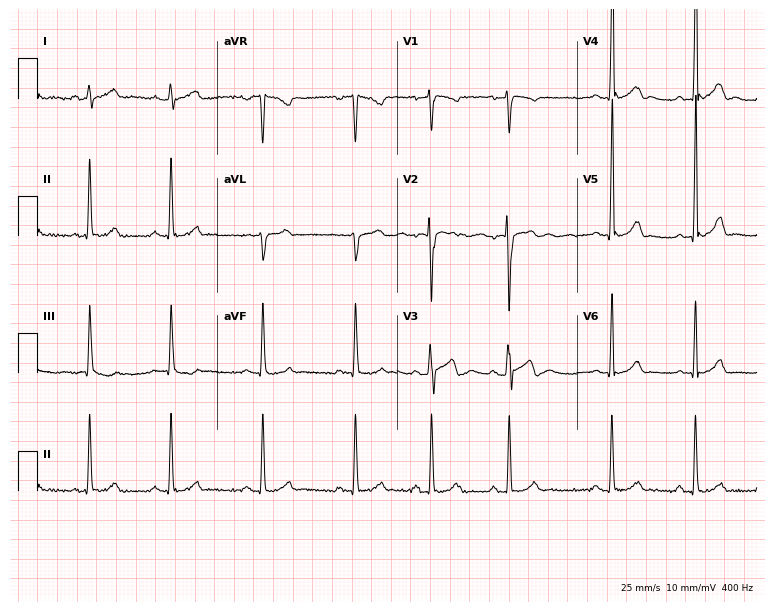
ECG (7.3-second recording at 400 Hz) — a male patient, 17 years old. Screened for six findings — first-degree AV block, right bundle branch block, left bundle branch block, sinus bradycardia, atrial fibrillation, sinus tachycardia — none is recorded. Only these six findings were labelled.